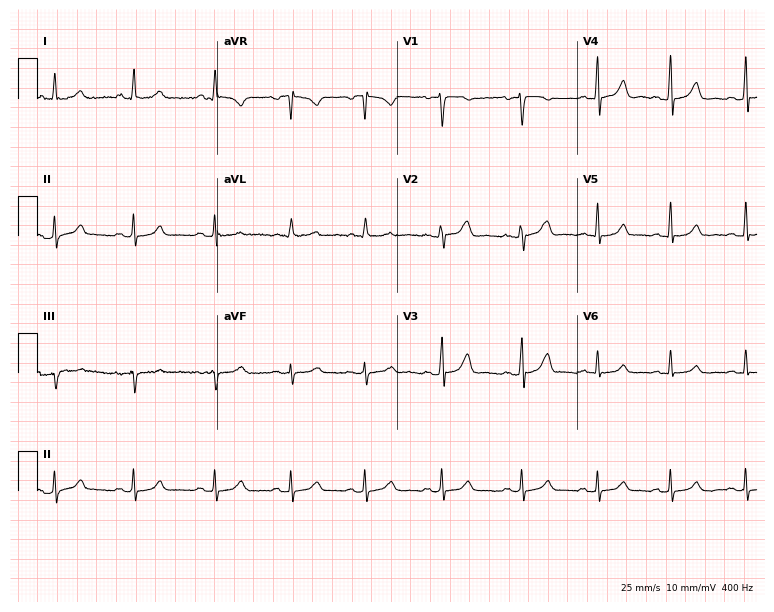
Resting 12-lead electrocardiogram. Patient: a 30-year-old female. Read as a normal ECG.